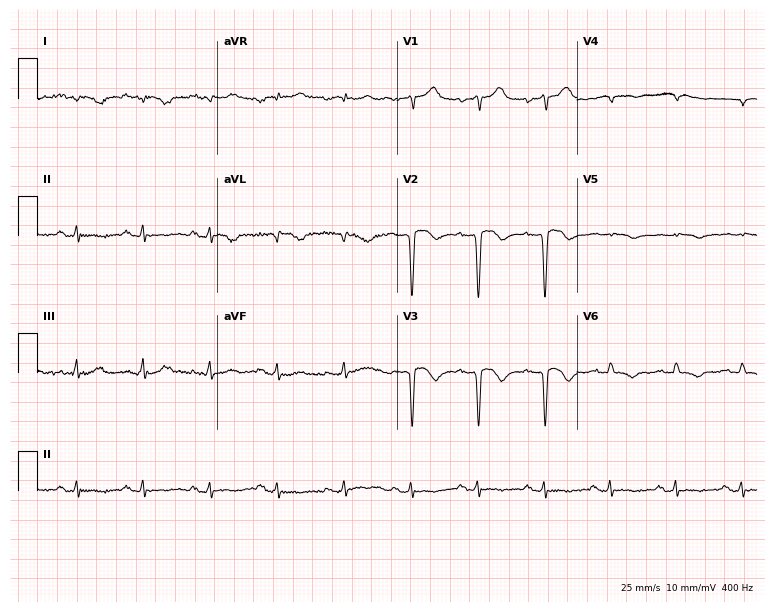
Resting 12-lead electrocardiogram (7.3-second recording at 400 Hz). Patient: a 45-year-old male. None of these six findings is recorded: first-degree AV block, right bundle branch block (RBBB), left bundle branch block (LBBB), sinus bradycardia, atrial fibrillation (AF), sinus tachycardia. Other findings, if any, are not listed.